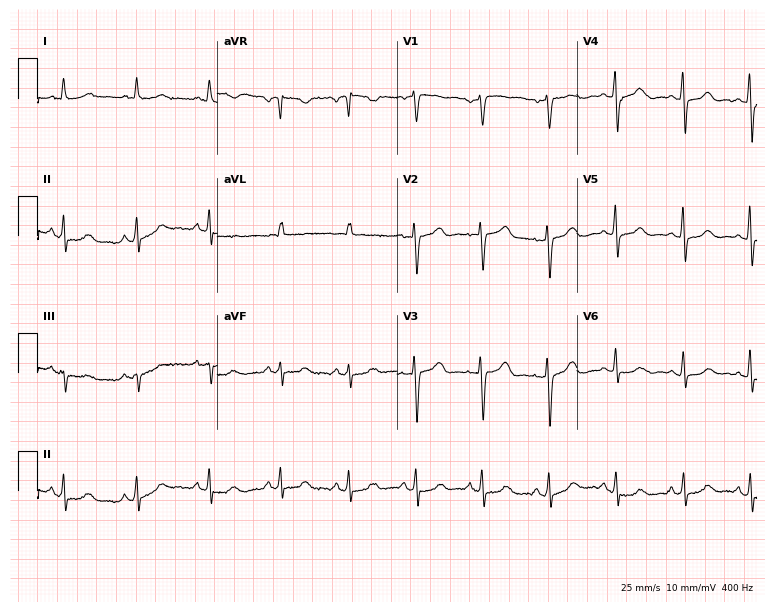
12-lead ECG from a 49-year-old woman. Recorded interpretation: within normal limits.